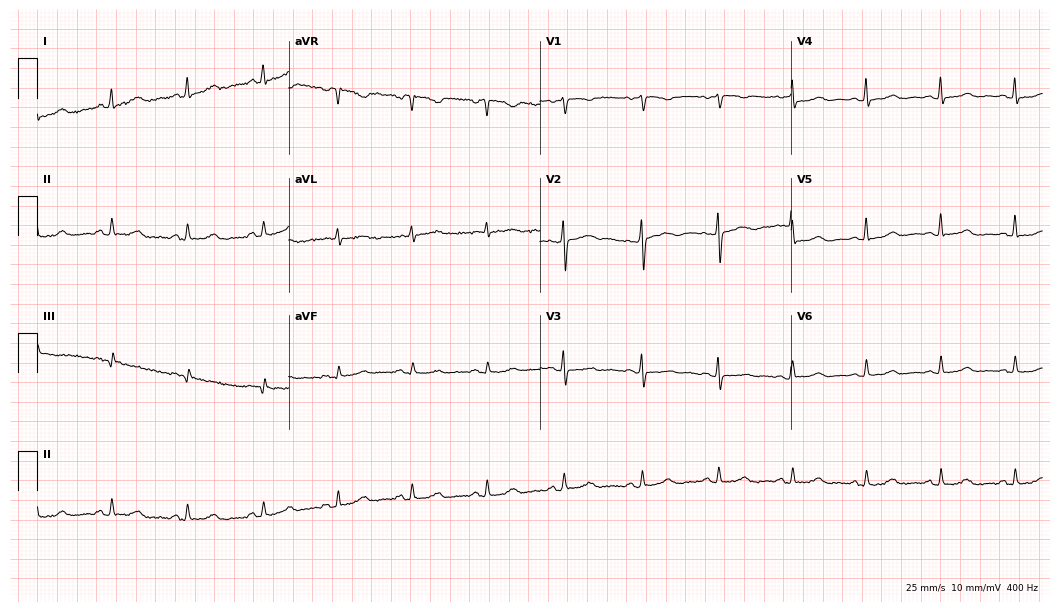
12-lead ECG from a female patient, 57 years old. Recorded interpretation: within normal limits.